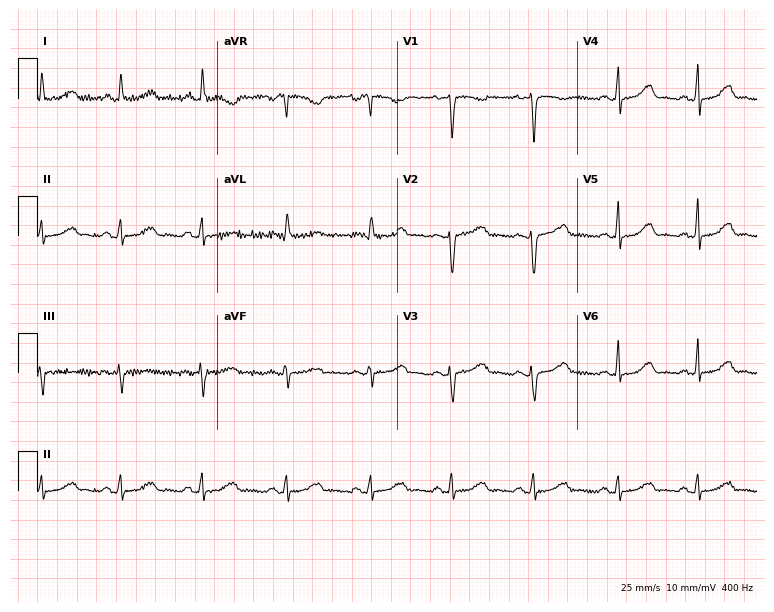
Standard 12-lead ECG recorded from a female patient, 40 years old (7.3-second recording at 400 Hz). None of these six findings is recorded: first-degree AV block, right bundle branch block, left bundle branch block, sinus bradycardia, atrial fibrillation, sinus tachycardia.